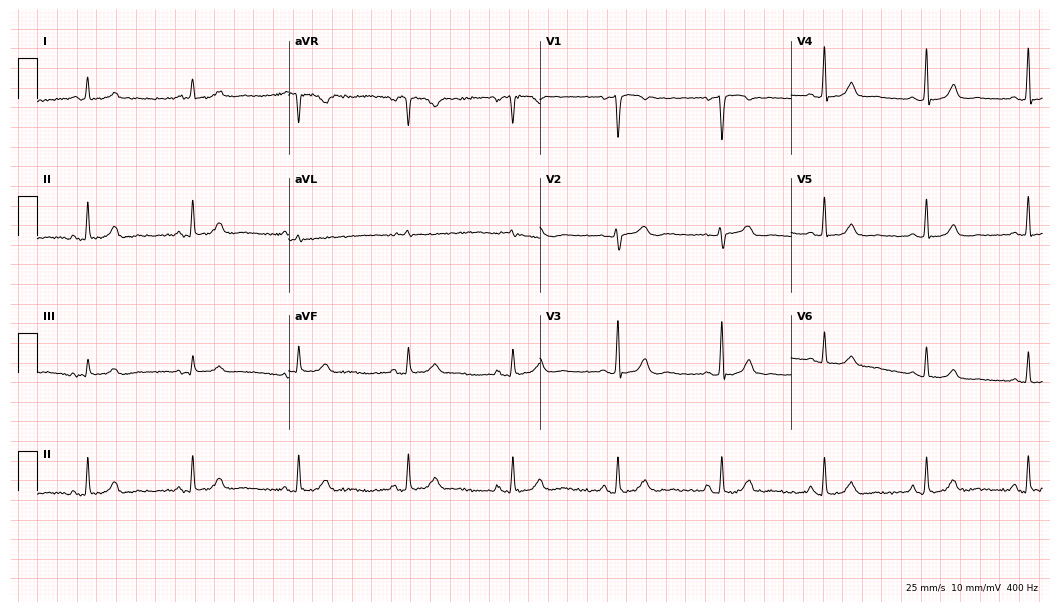
12-lead ECG from a 47-year-old woman (10.2-second recording at 400 Hz). Recorded interpretation: within normal limits.